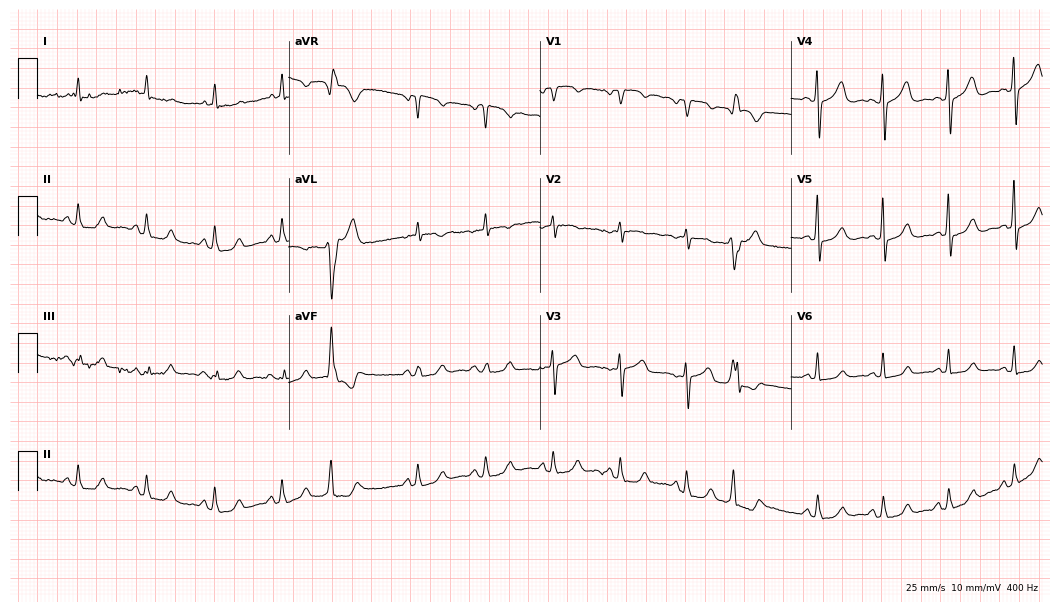
12-lead ECG from a female patient, 83 years old. No first-degree AV block, right bundle branch block, left bundle branch block, sinus bradycardia, atrial fibrillation or sinus tachycardia recorded for this tracing.